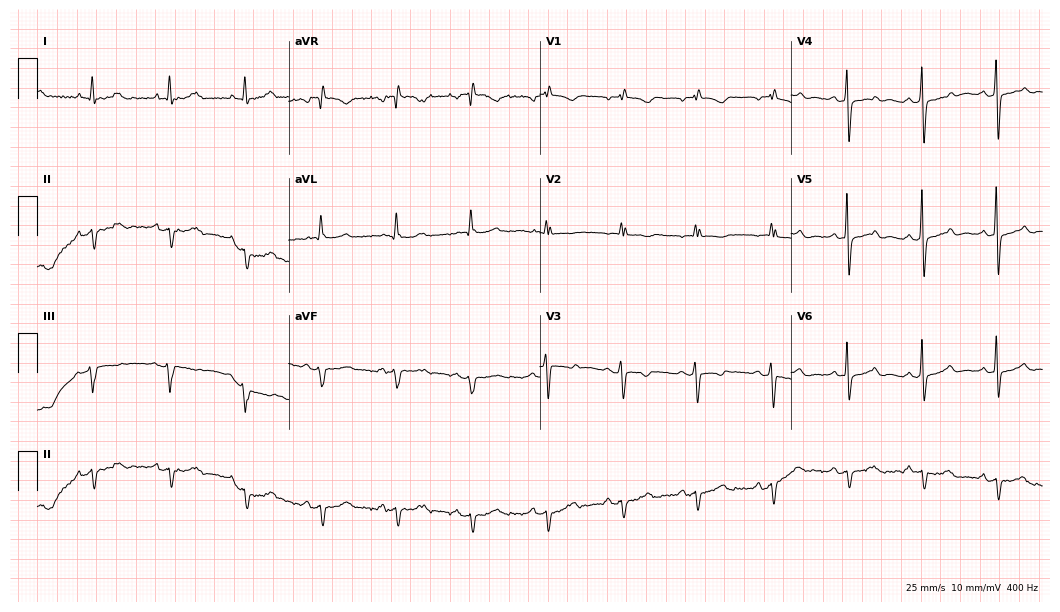
12-lead ECG from a female patient, 66 years old. Screened for six findings — first-degree AV block, right bundle branch block, left bundle branch block, sinus bradycardia, atrial fibrillation, sinus tachycardia — none is recorded.